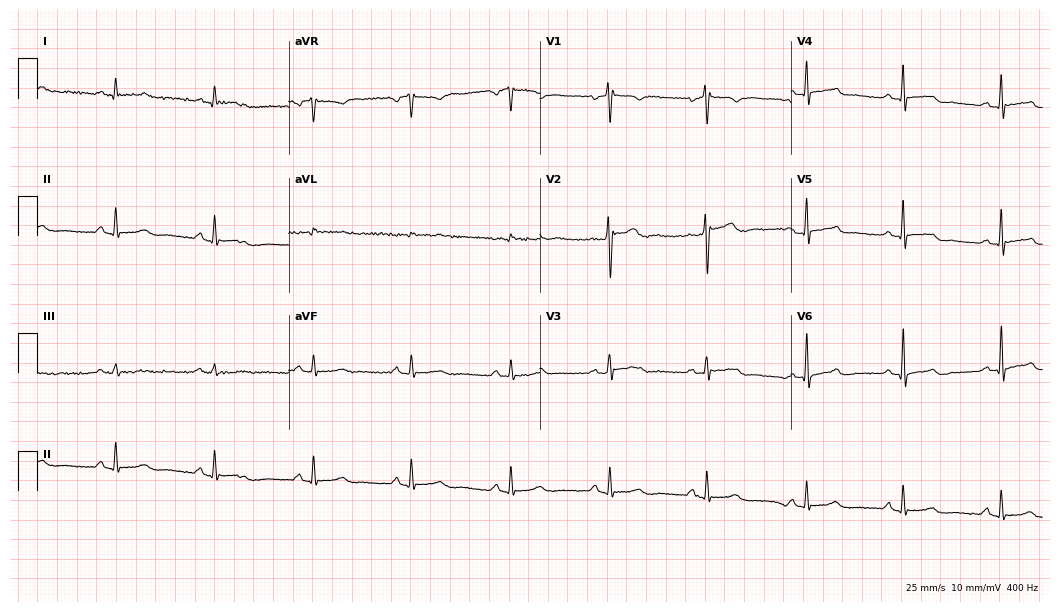
ECG — a 40-year-old male. Labelled as a normal ECG.